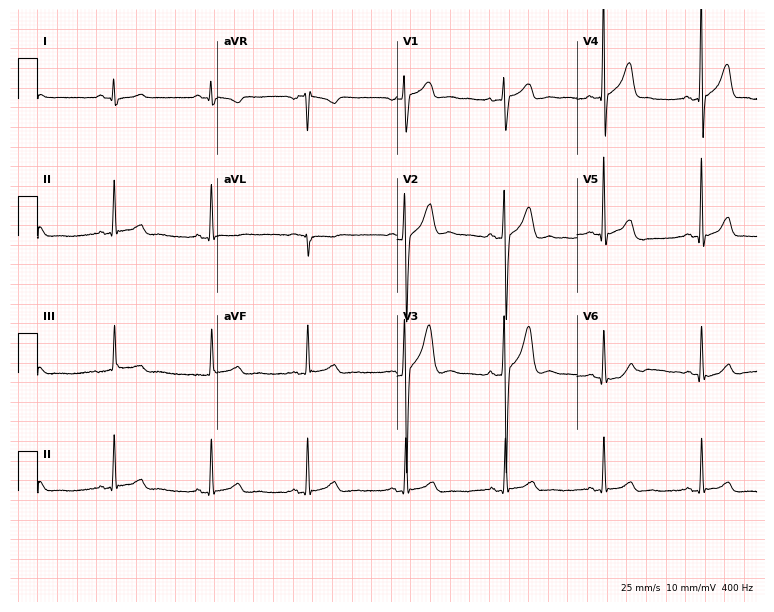
Electrocardiogram (7.3-second recording at 400 Hz), a male patient, 23 years old. Overall reading on record: normal ECG.